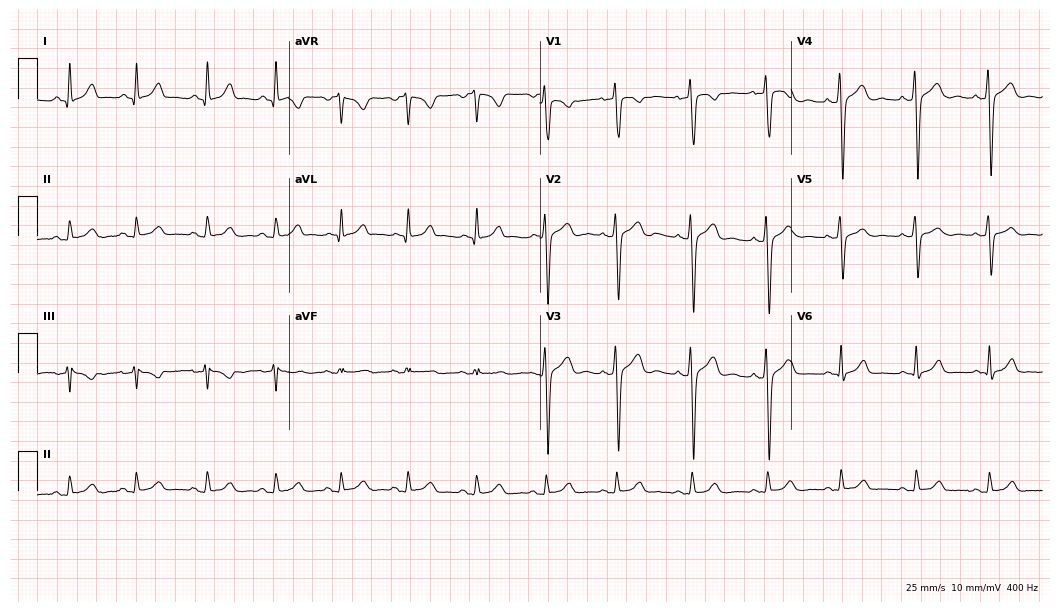
ECG (10.2-second recording at 400 Hz) — a 28-year-old female patient. Screened for six findings — first-degree AV block, right bundle branch block (RBBB), left bundle branch block (LBBB), sinus bradycardia, atrial fibrillation (AF), sinus tachycardia — none is recorded. Other findings, if any, are not listed.